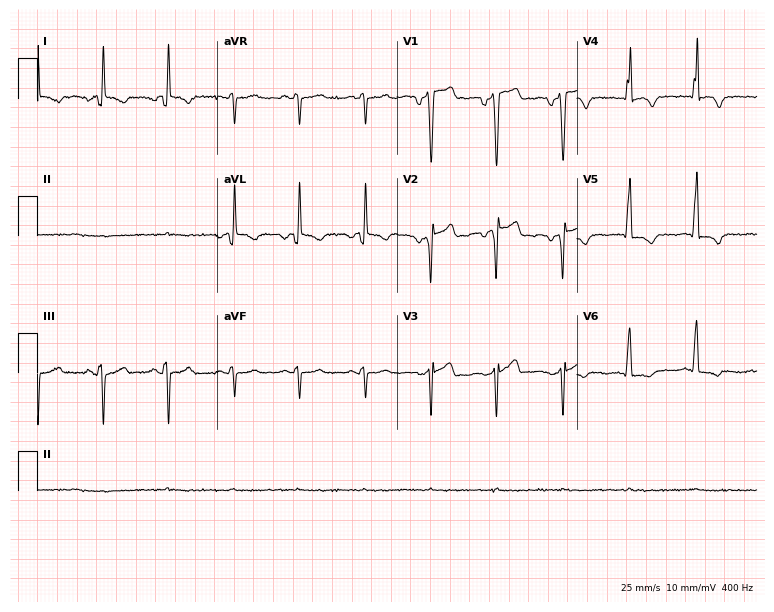
ECG — a male patient, 70 years old. Screened for six findings — first-degree AV block, right bundle branch block, left bundle branch block, sinus bradycardia, atrial fibrillation, sinus tachycardia — none is recorded.